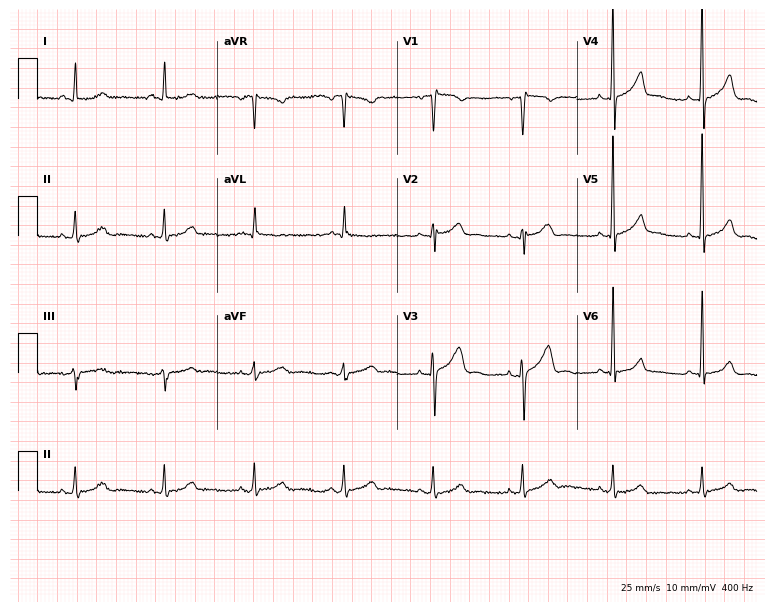
12-lead ECG from a male patient, 51 years old (7.3-second recording at 400 Hz). Recorded interpretation: within normal limits.